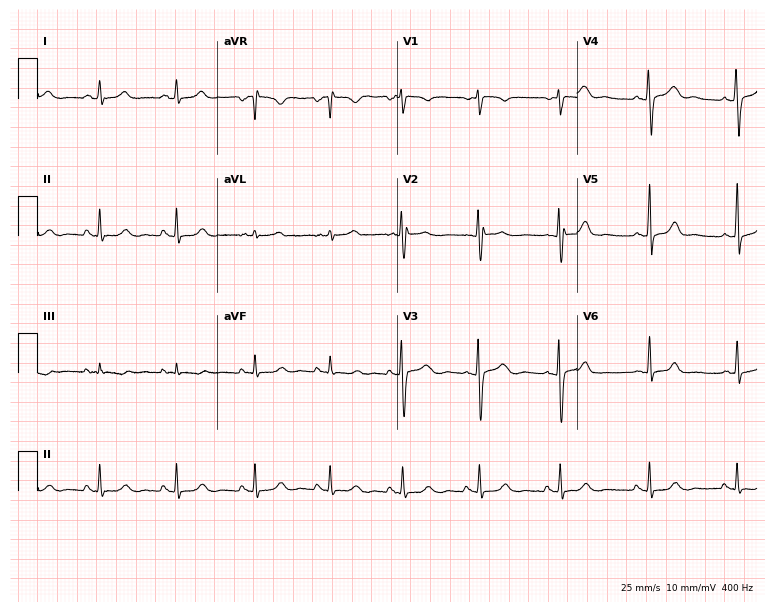
Electrocardiogram (7.3-second recording at 400 Hz), a 34-year-old male. Overall reading on record: normal ECG.